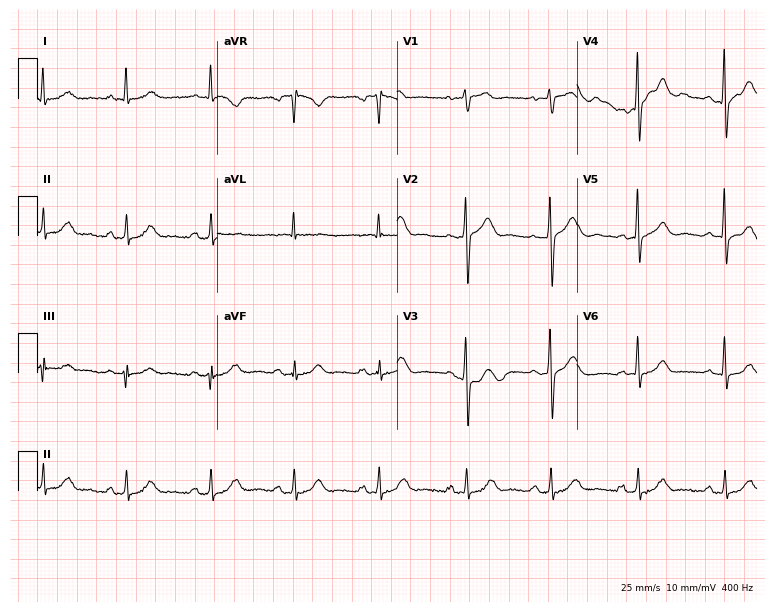
12-lead ECG (7.3-second recording at 400 Hz) from a male patient, 64 years old. Screened for six findings — first-degree AV block, right bundle branch block (RBBB), left bundle branch block (LBBB), sinus bradycardia, atrial fibrillation (AF), sinus tachycardia — none is recorded.